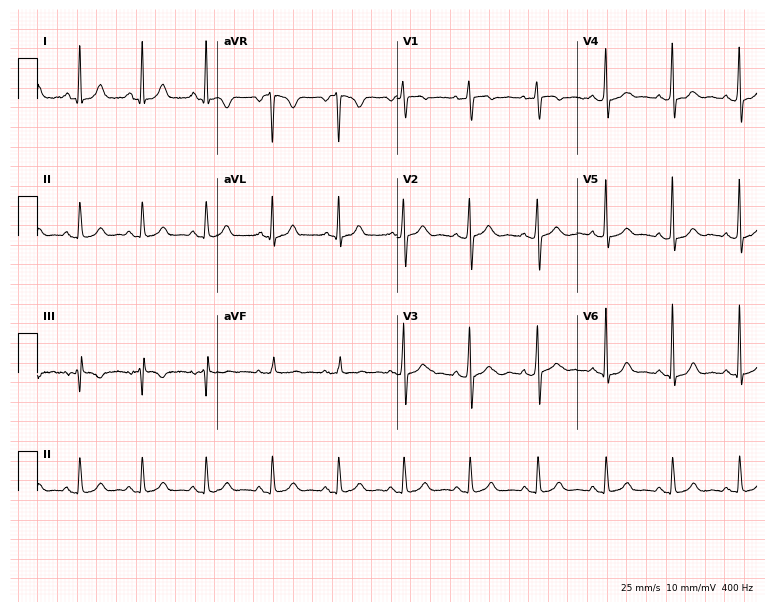
12-lead ECG from a female patient, 24 years old (7.3-second recording at 400 Hz). Recorded interpretation: within normal limits.